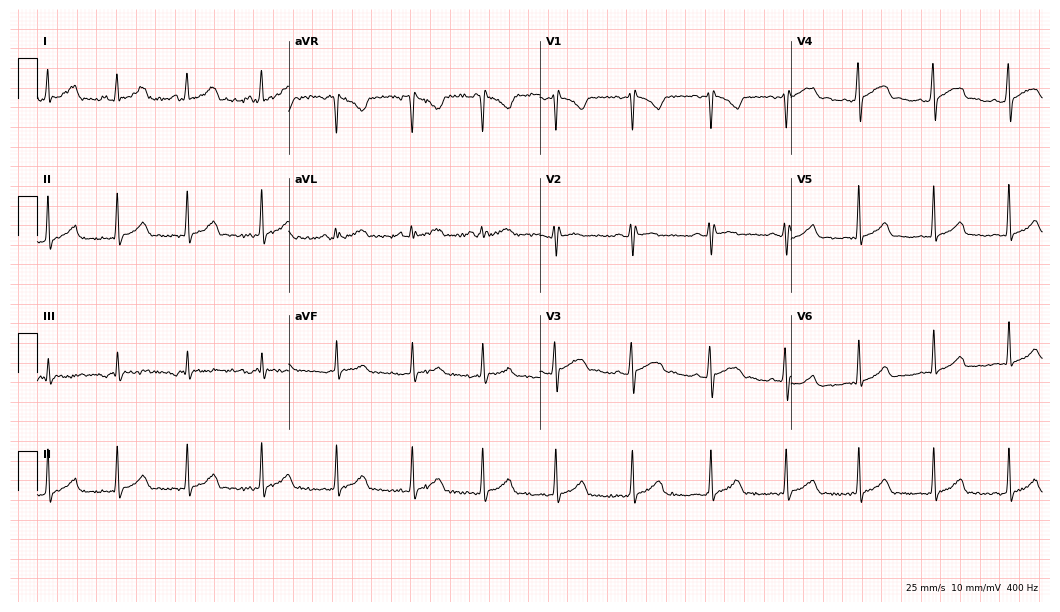
12-lead ECG from a 30-year-old woman. Recorded interpretation: within normal limits.